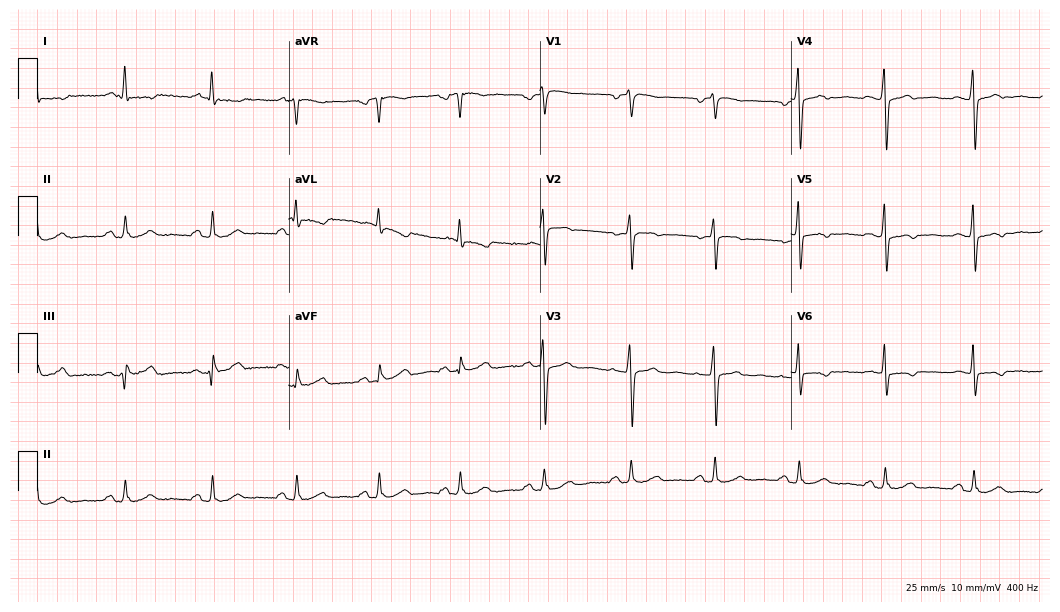
ECG — a female patient, 54 years old. Screened for six findings — first-degree AV block, right bundle branch block (RBBB), left bundle branch block (LBBB), sinus bradycardia, atrial fibrillation (AF), sinus tachycardia — none is recorded.